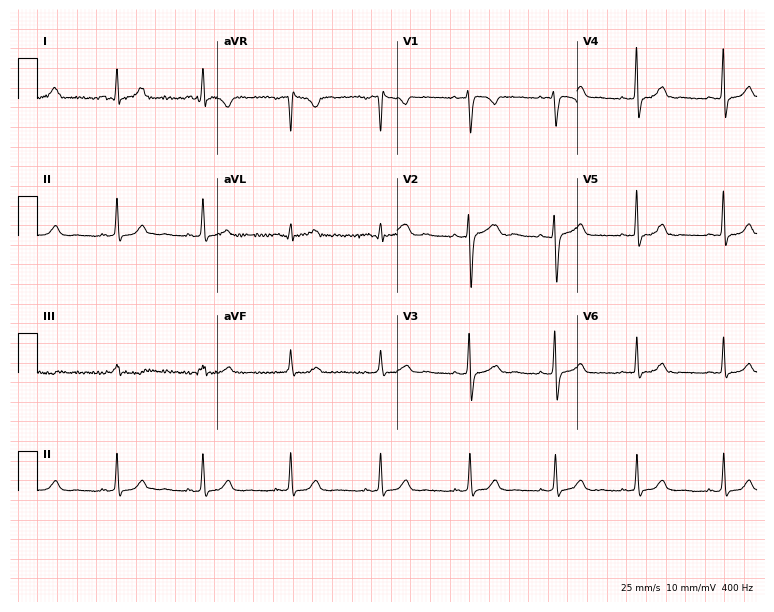
Standard 12-lead ECG recorded from a female patient, 25 years old (7.3-second recording at 400 Hz). None of these six findings is recorded: first-degree AV block, right bundle branch block, left bundle branch block, sinus bradycardia, atrial fibrillation, sinus tachycardia. Findings outside these six are not listed.